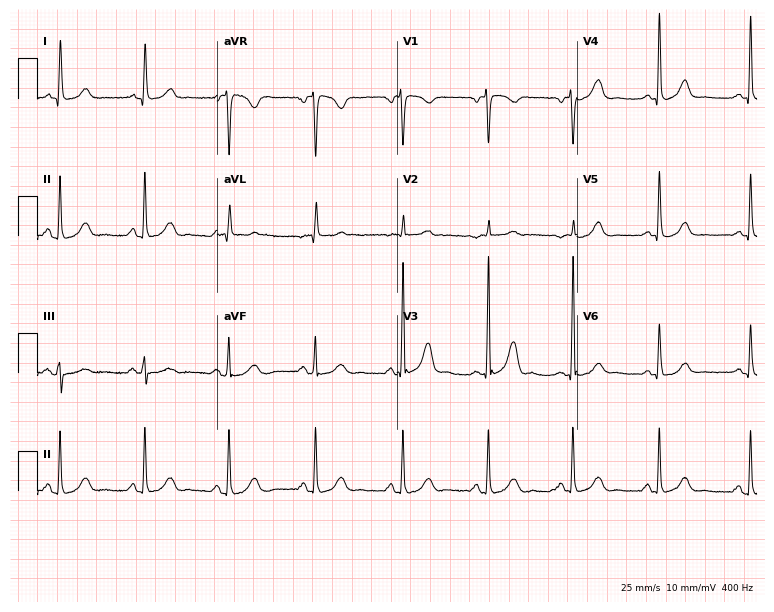
12-lead ECG from a woman, 84 years old. No first-degree AV block, right bundle branch block, left bundle branch block, sinus bradycardia, atrial fibrillation or sinus tachycardia recorded for this tracing. Only these six findings were labelled.